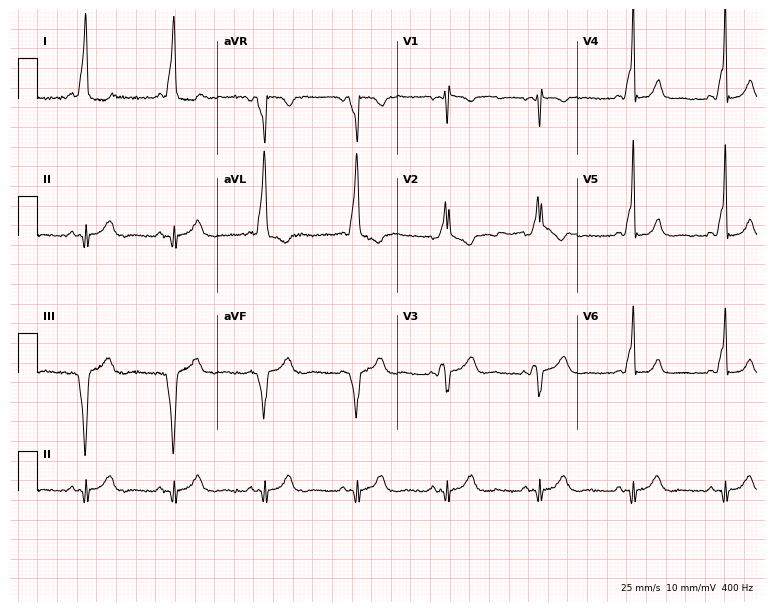
Electrocardiogram (7.3-second recording at 400 Hz), a woman, 30 years old. Of the six screened findings (first-degree AV block, right bundle branch block (RBBB), left bundle branch block (LBBB), sinus bradycardia, atrial fibrillation (AF), sinus tachycardia), none is recorded.